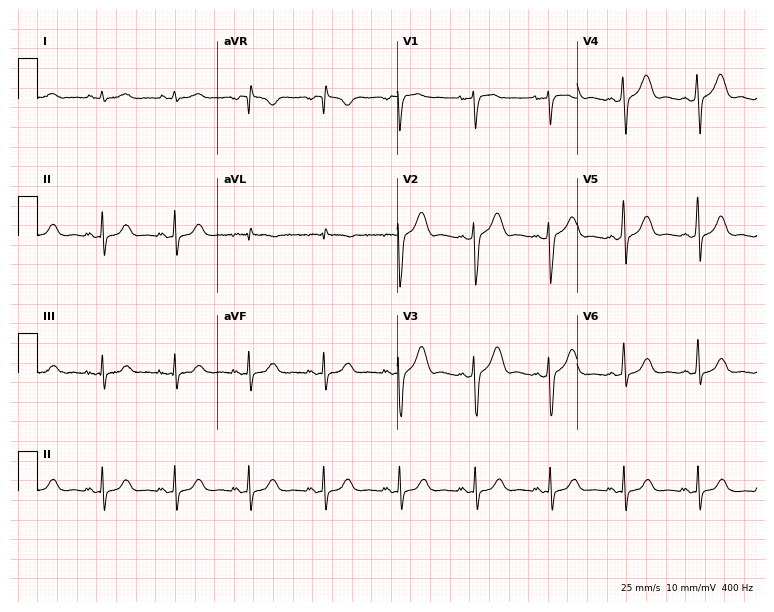
Electrocardiogram (7.3-second recording at 400 Hz), a female patient, 52 years old. Of the six screened findings (first-degree AV block, right bundle branch block (RBBB), left bundle branch block (LBBB), sinus bradycardia, atrial fibrillation (AF), sinus tachycardia), none is recorded.